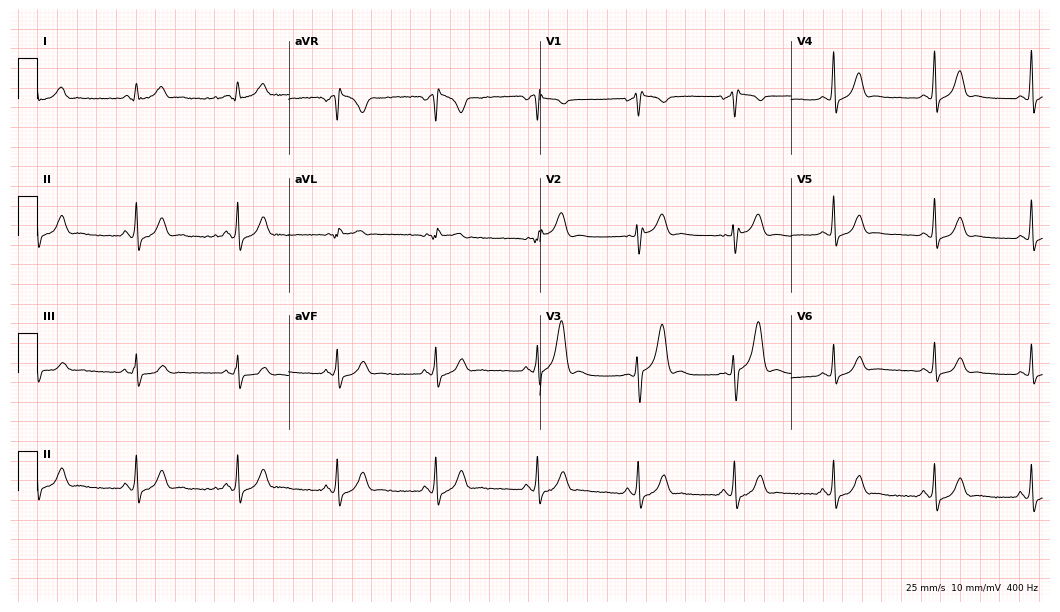
ECG — a man, 30 years old. Screened for six findings — first-degree AV block, right bundle branch block (RBBB), left bundle branch block (LBBB), sinus bradycardia, atrial fibrillation (AF), sinus tachycardia — none is recorded.